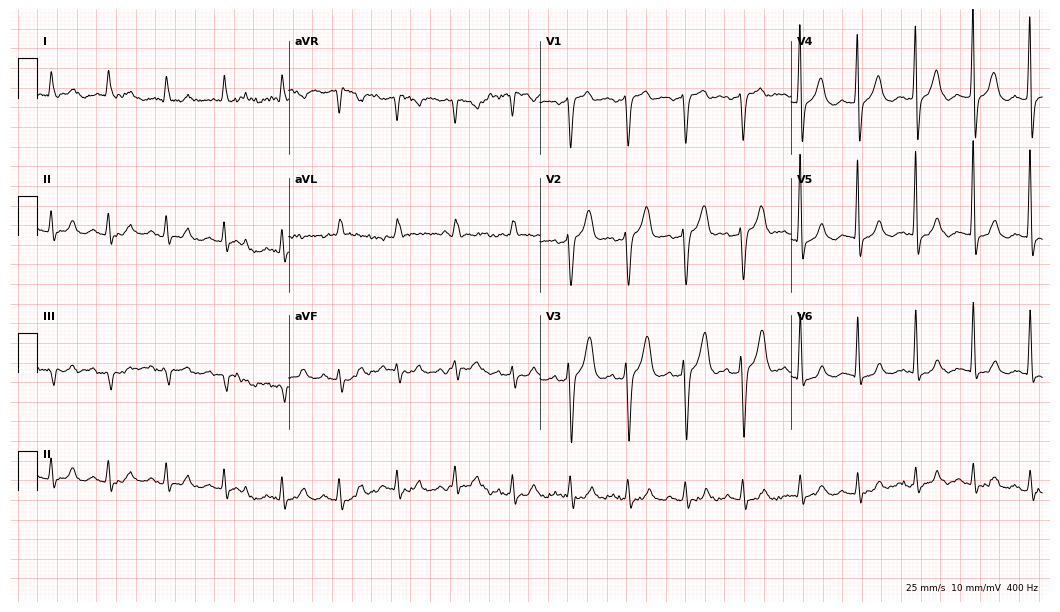
Standard 12-lead ECG recorded from a 79-year-old male (10.2-second recording at 400 Hz). Read as a normal ECG.